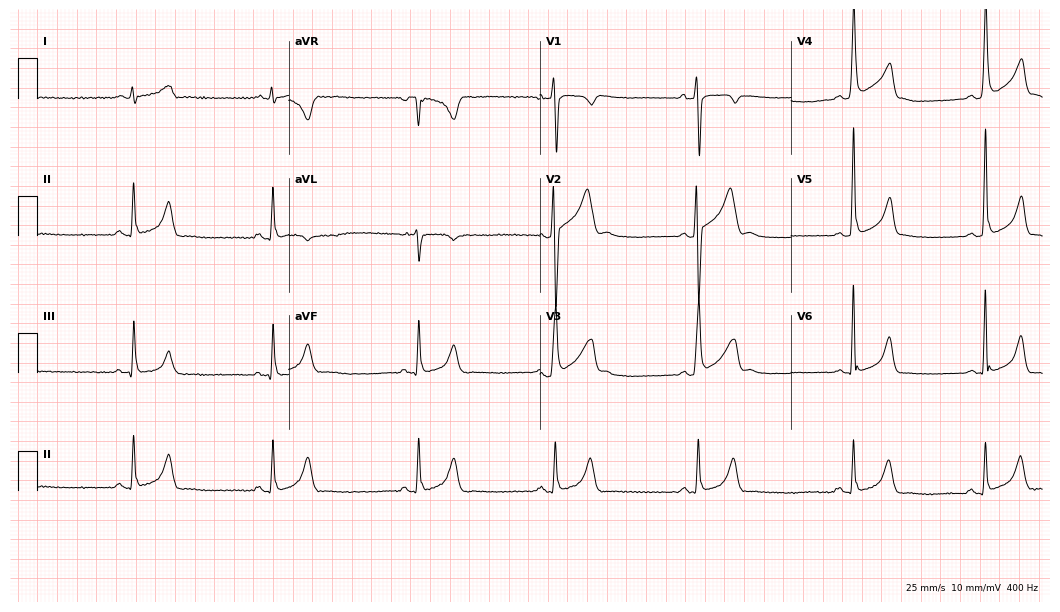
12-lead ECG from a 17-year-old man. No first-degree AV block, right bundle branch block, left bundle branch block, sinus bradycardia, atrial fibrillation or sinus tachycardia recorded for this tracing. Findings outside these six are not listed.